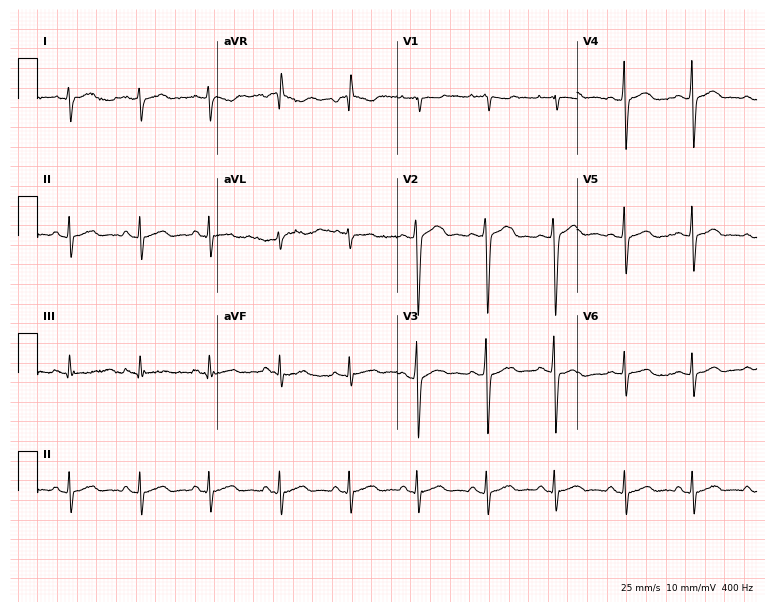
12-lead ECG from a female, 18 years old. No first-degree AV block, right bundle branch block, left bundle branch block, sinus bradycardia, atrial fibrillation or sinus tachycardia recorded for this tracing.